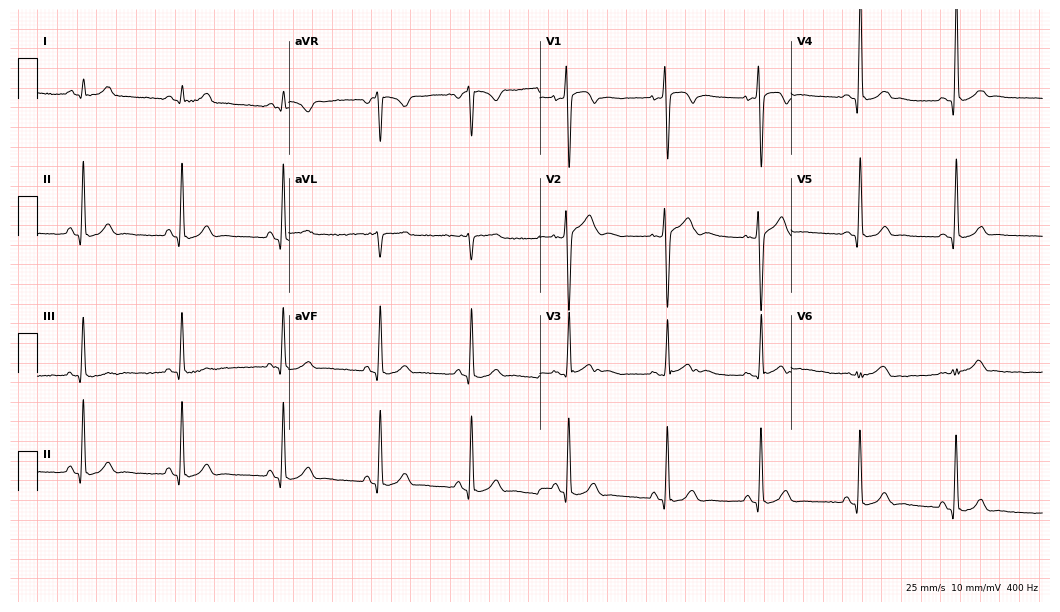
ECG (10.2-second recording at 400 Hz) — a man, 20 years old. Screened for six findings — first-degree AV block, right bundle branch block (RBBB), left bundle branch block (LBBB), sinus bradycardia, atrial fibrillation (AF), sinus tachycardia — none is recorded.